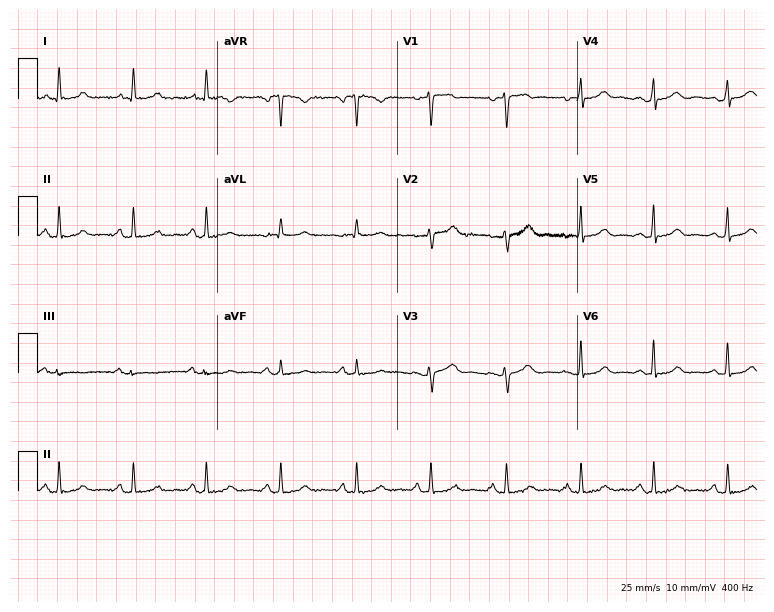
Electrocardiogram, a 51-year-old woman. Overall reading on record: normal ECG.